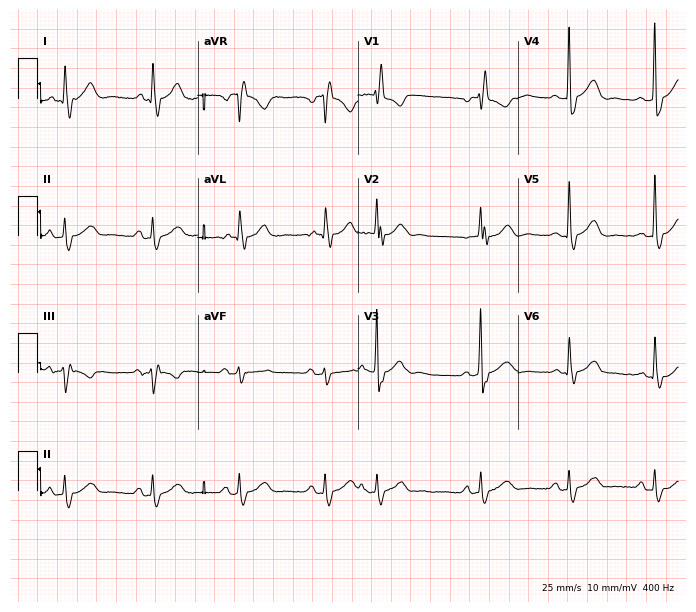
12-lead ECG from a woman, 84 years old (6.5-second recording at 400 Hz). No first-degree AV block, right bundle branch block, left bundle branch block, sinus bradycardia, atrial fibrillation or sinus tachycardia recorded for this tracing.